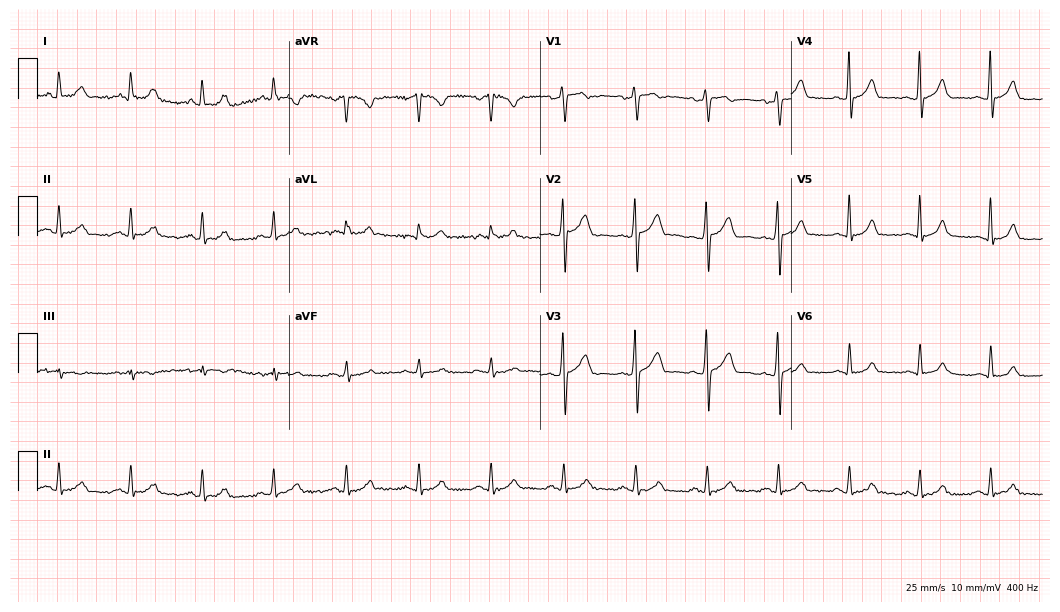
12-lead ECG (10.2-second recording at 400 Hz) from a 50-year-old male patient. Labelled as a normal ECG.